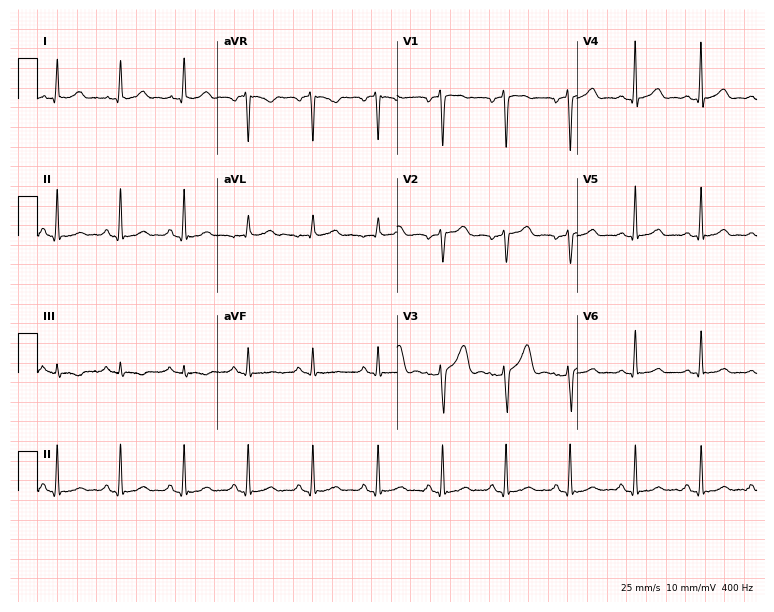
Electrocardiogram, a woman, 36 years old. Overall reading on record: normal ECG.